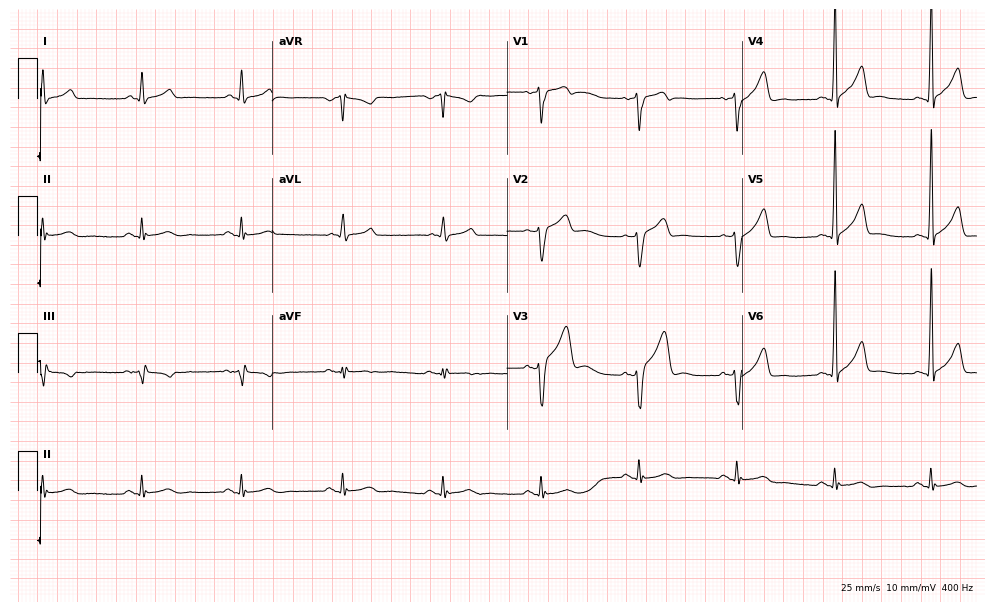
Standard 12-lead ECG recorded from a 44-year-old male (9.6-second recording at 400 Hz). Read as a normal ECG.